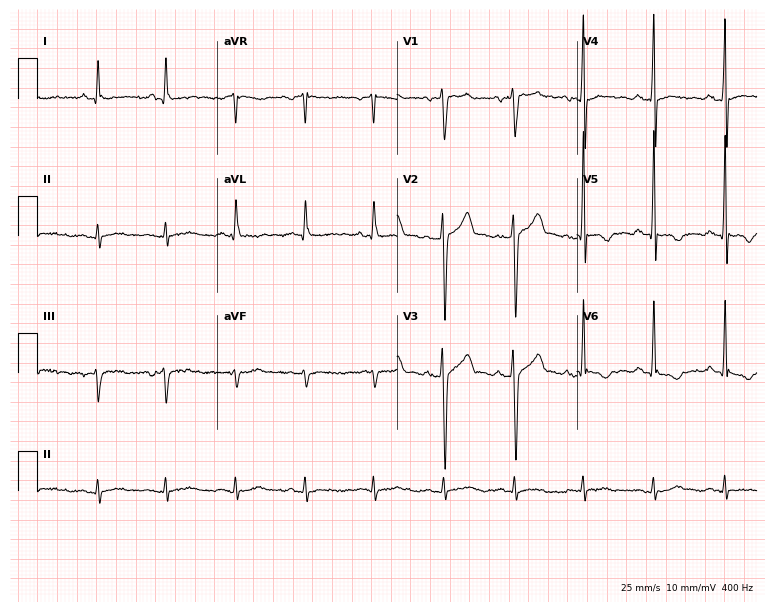
Resting 12-lead electrocardiogram. Patient: a man, 44 years old. None of these six findings is recorded: first-degree AV block, right bundle branch block, left bundle branch block, sinus bradycardia, atrial fibrillation, sinus tachycardia. Other findings, if any, are not listed.